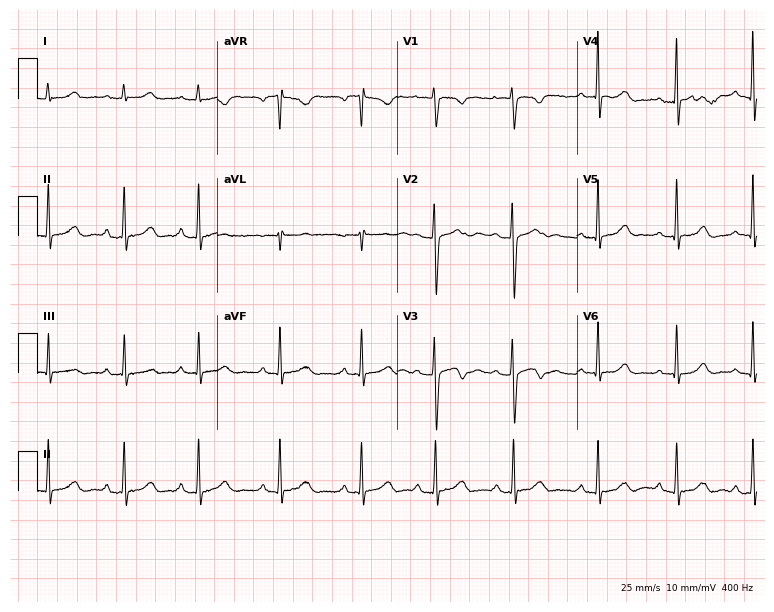
12-lead ECG from a female, 22 years old. Recorded interpretation: within normal limits.